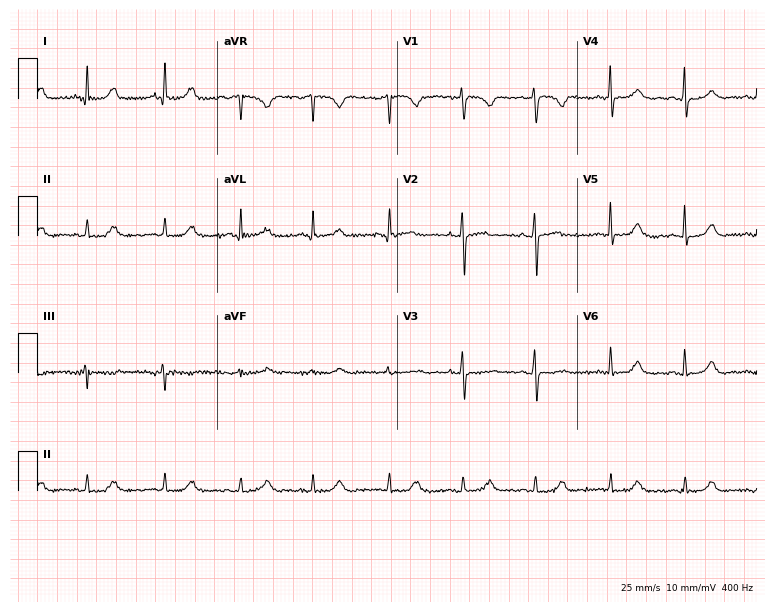
Resting 12-lead electrocardiogram (7.3-second recording at 400 Hz). Patient: a 64-year-old female. Read as a normal ECG.